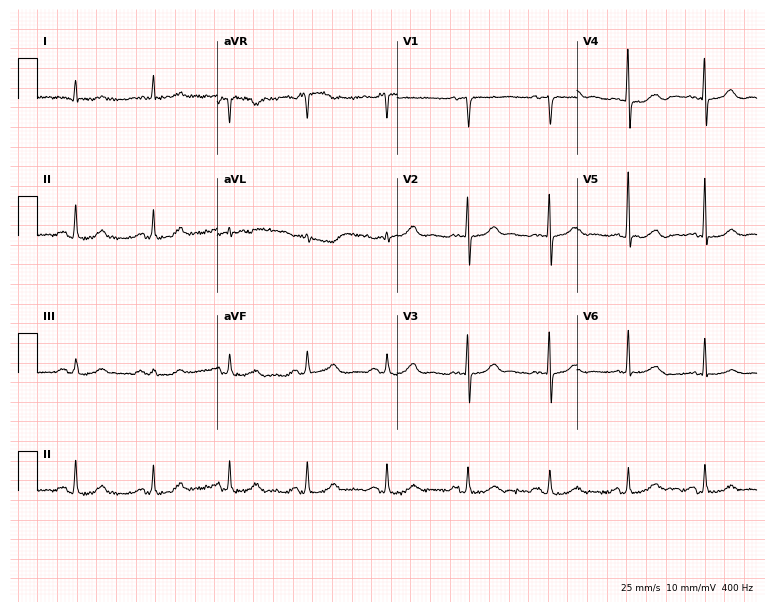
ECG — a woman, 84 years old. Screened for six findings — first-degree AV block, right bundle branch block, left bundle branch block, sinus bradycardia, atrial fibrillation, sinus tachycardia — none is recorded. Only these six findings were labelled.